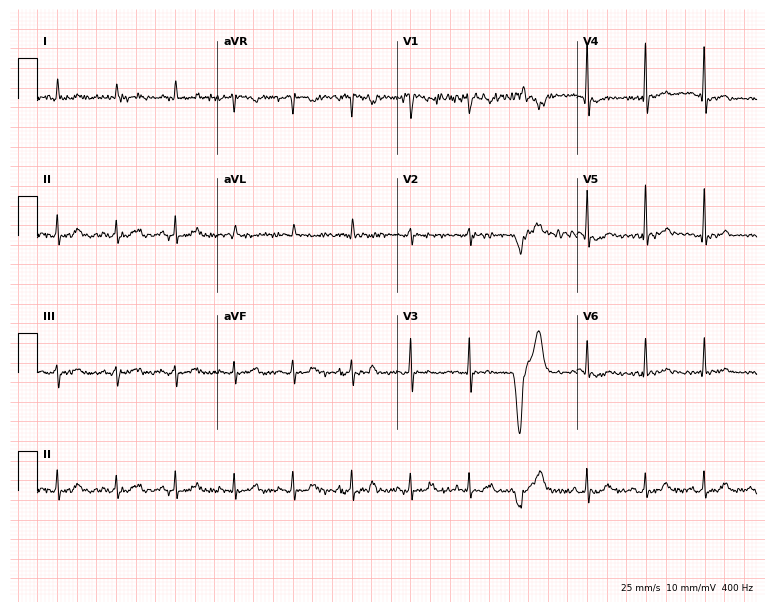
12-lead ECG from a woman, 81 years old. Findings include sinus tachycardia (a sinus rate of 100 beats per minute or more).